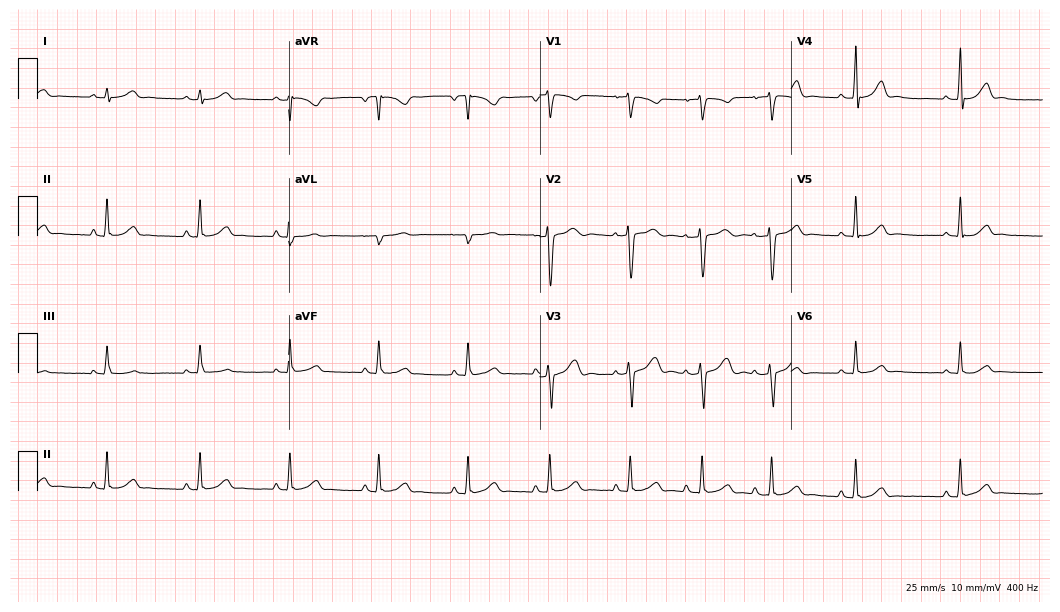
12-lead ECG from a female, 22 years old. Recorded interpretation: within normal limits.